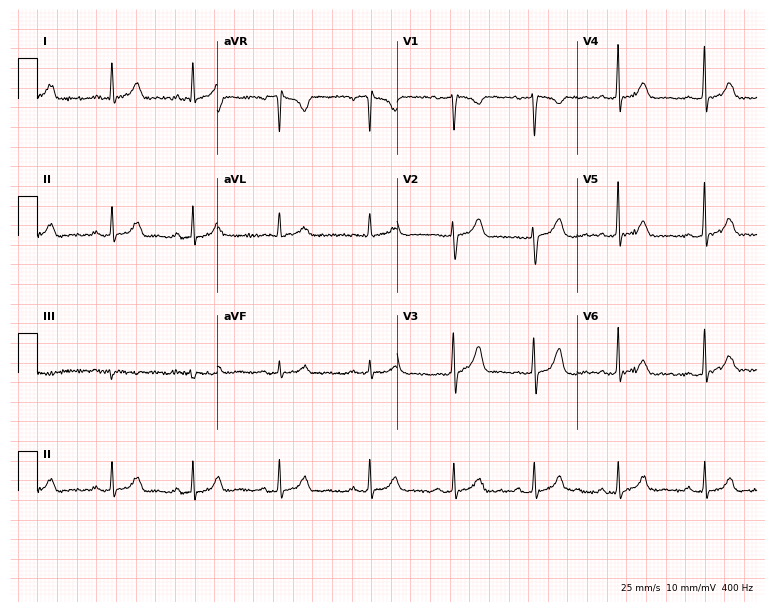
Electrocardiogram (7.3-second recording at 400 Hz), a 28-year-old woman. Of the six screened findings (first-degree AV block, right bundle branch block, left bundle branch block, sinus bradycardia, atrial fibrillation, sinus tachycardia), none is recorded.